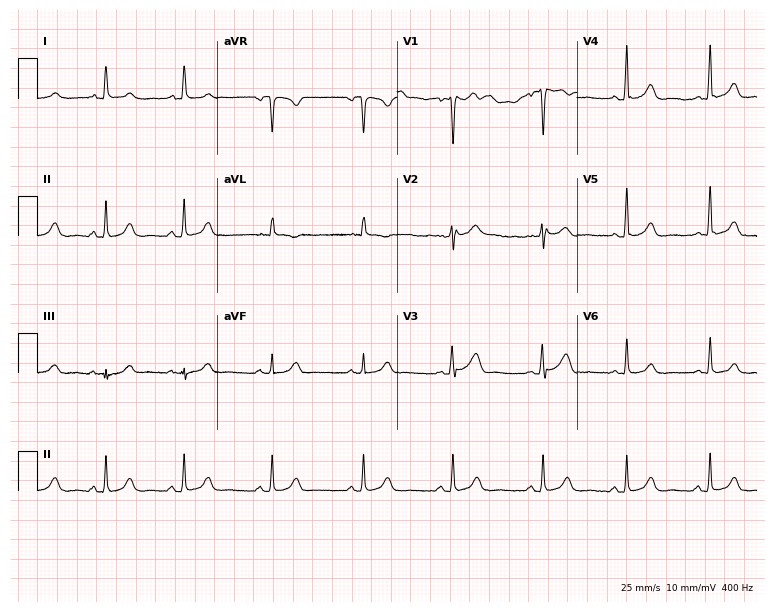
Resting 12-lead electrocardiogram. Patient: a woman, 32 years old. Read as a normal ECG.